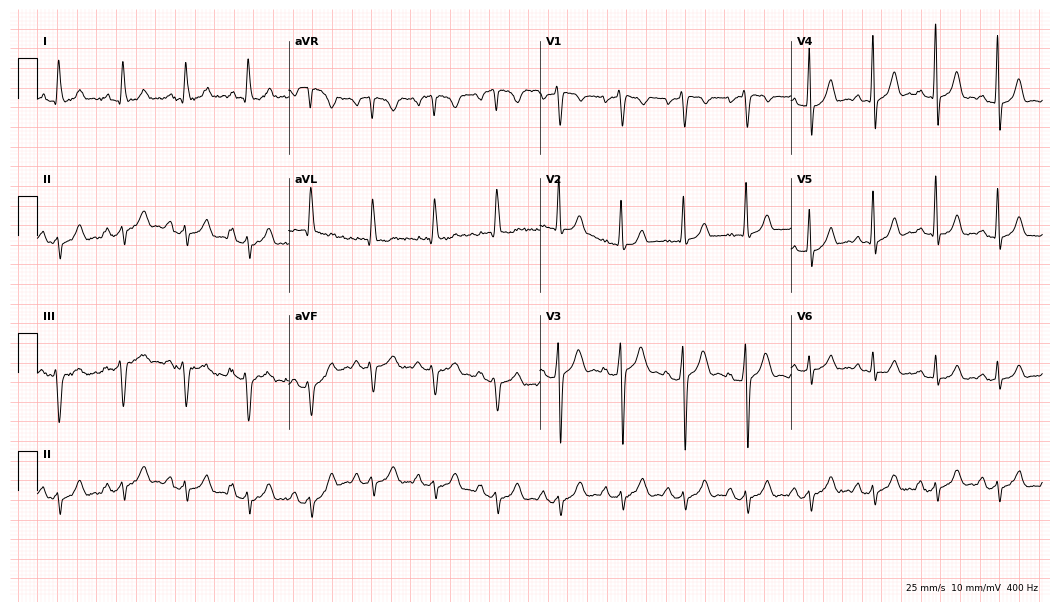
ECG — a male patient, 63 years old. Screened for six findings — first-degree AV block, right bundle branch block, left bundle branch block, sinus bradycardia, atrial fibrillation, sinus tachycardia — none is recorded. Only these six findings were labelled.